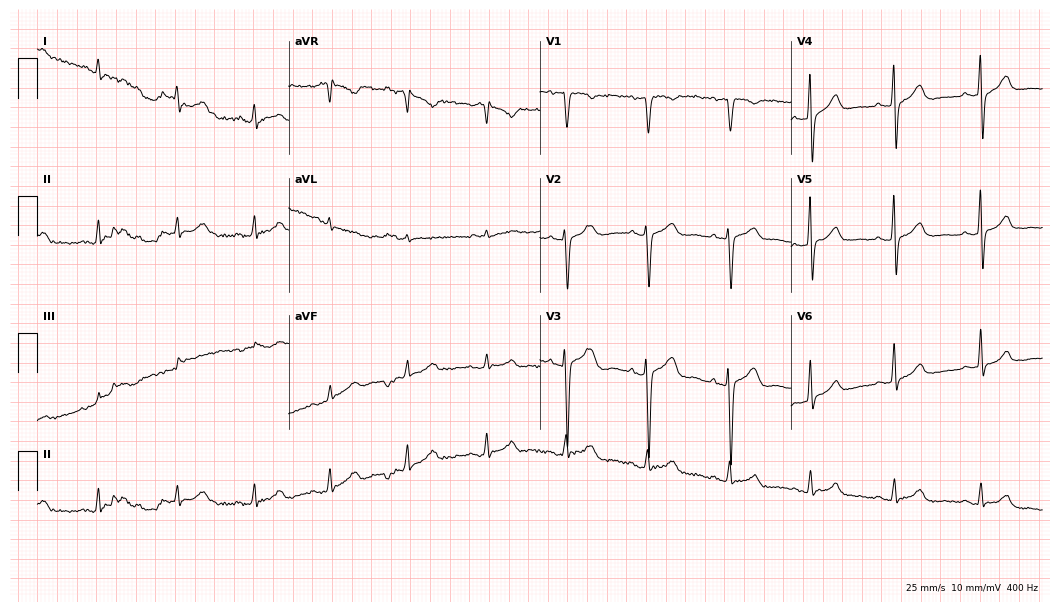
12-lead ECG (10.2-second recording at 400 Hz) from a 66-year-old man. Labelled as a normal ECG.